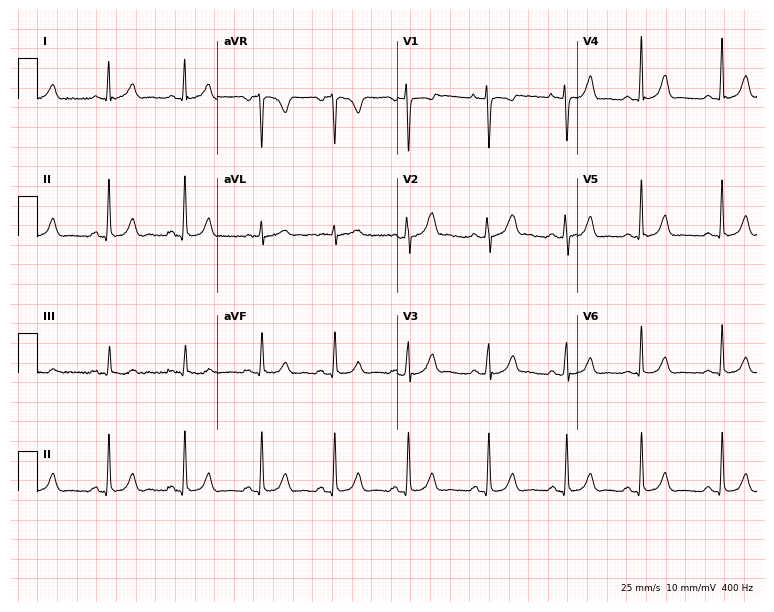
Electrocardiogram (7.3-second recording at 400 Hz), a 30-year-old female. Overall reading on record: normal ECG.